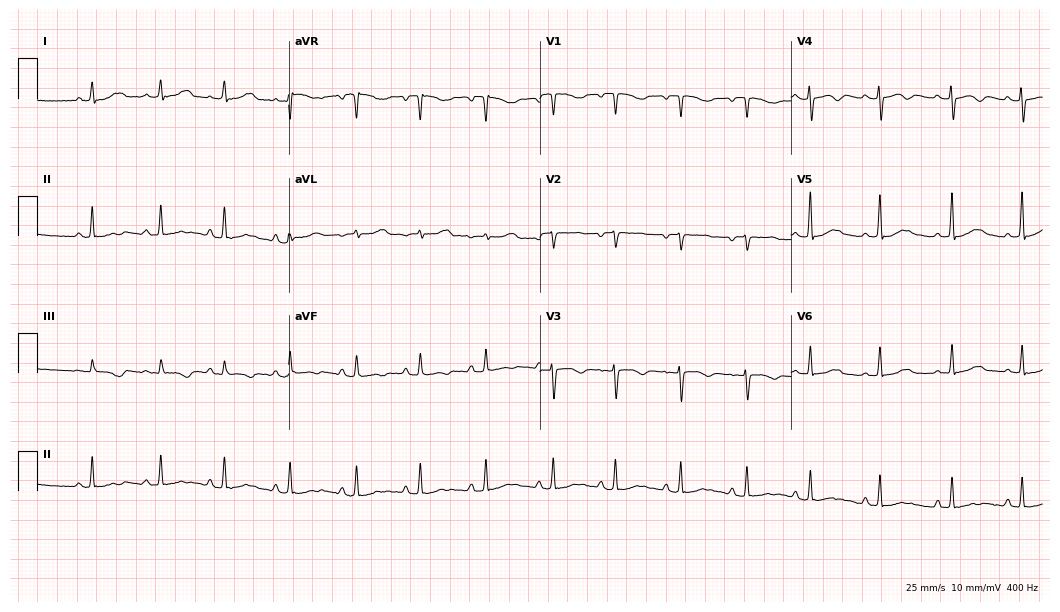
ECG (10.2-second recording at 400 Hz) — a female patient, 17 years old. Labelled as a normal ECG.